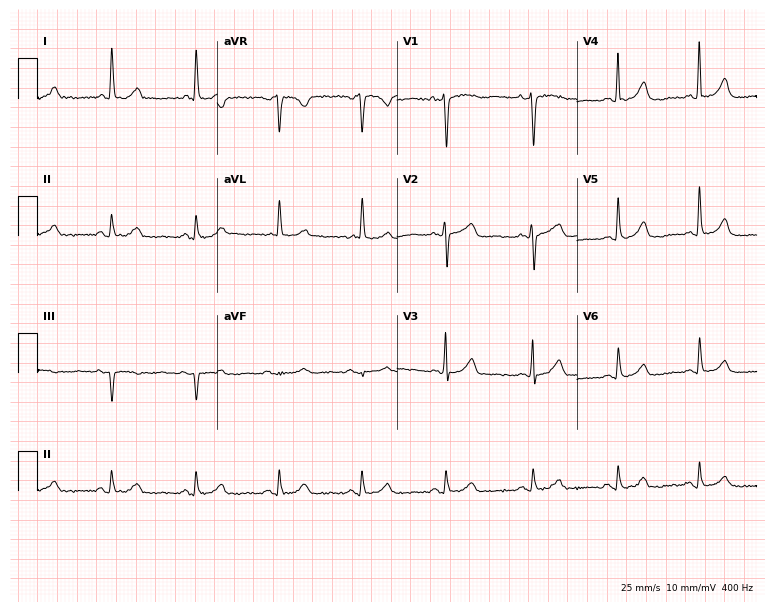
Electrocardiogram, a 65-year-old woman. Of the six screened findings (first-degree AV block, right bundle branch block, left bundle branch block, sinus bradycardia, atrial fibrillation, sinus tachycardia), none is recorded. Other findings, if any, are not listed.